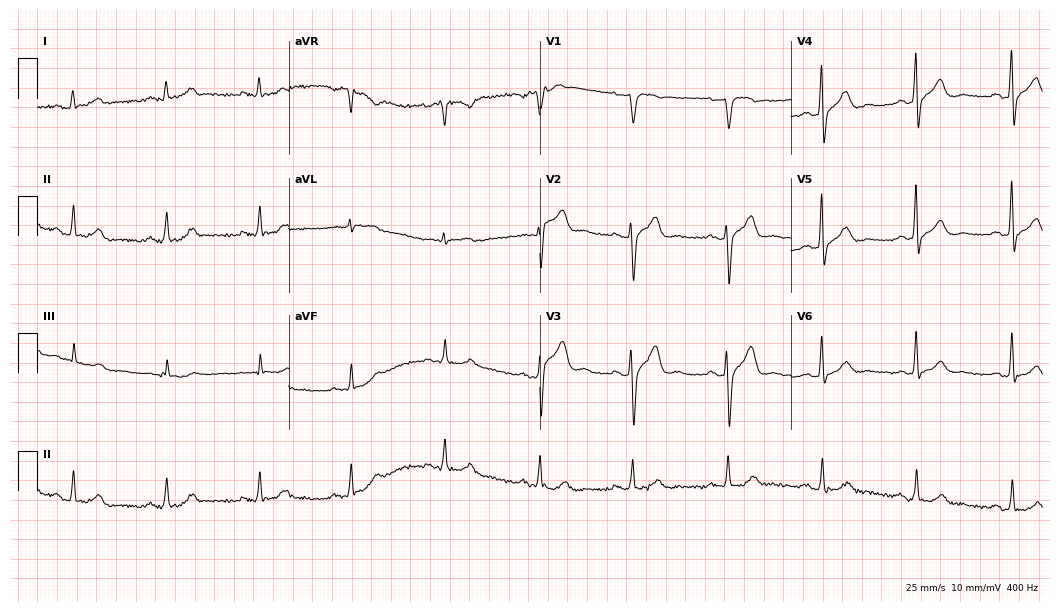
Resting 12-lead electrocardiogram (10.2-second recording at 400 Hz). Patient: a male, 59 years old. None of these six findings is recorded: first-degree AV block, right bundle branch block (RBBB), left bundle branch block (LBBB), sinus bradycardia, atrial fibrillation (AF), sinus tachycardia.